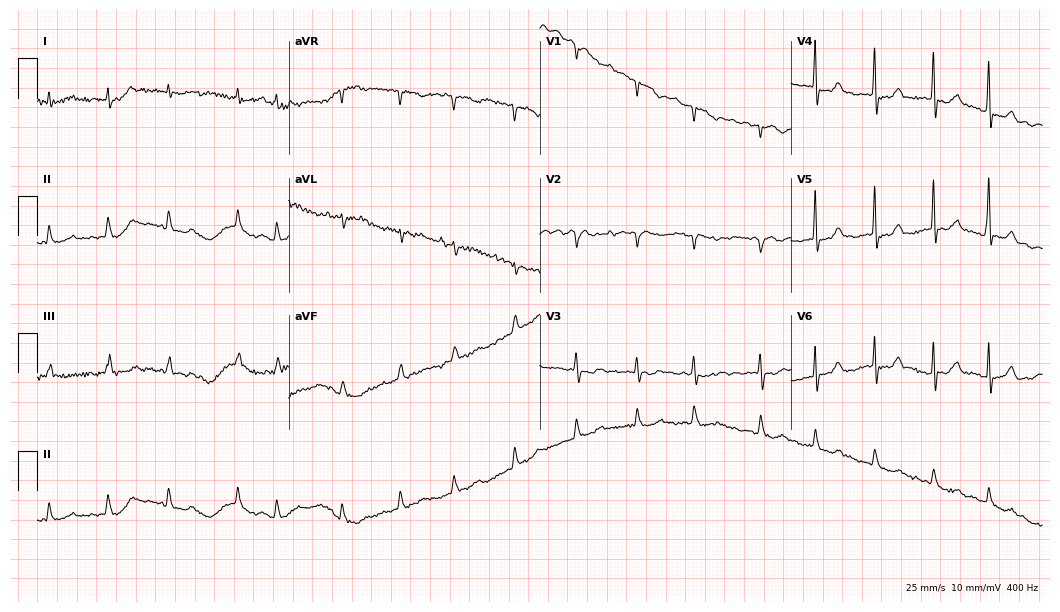
12-lead ECG from a female patient, 85 years old. Screened for six findings — first-degree AV block, right bundle branch block (RBBB), left bundle branch block (LBBB), sinus bradycardia, atrial fibrillation (AF), sinus tachycardia — none is recorded. Other findings, if any, are not listed.